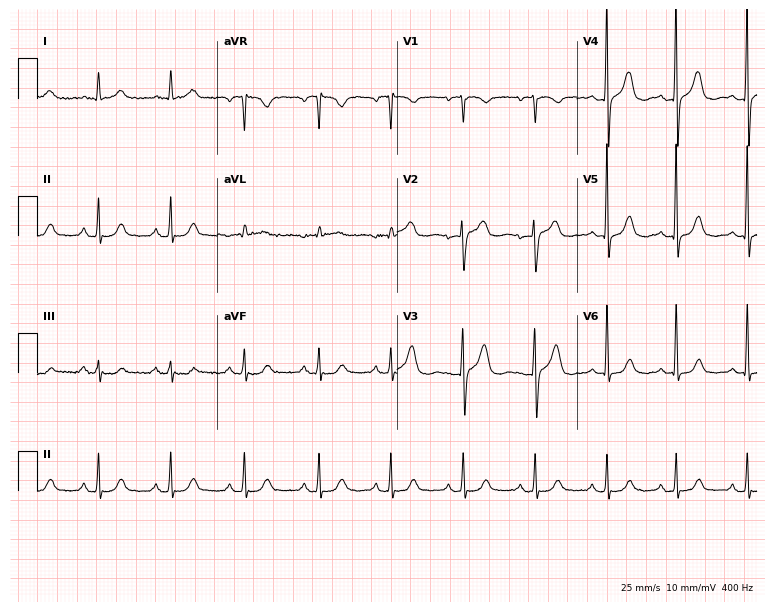
Electrocardiogram, a 65-year-old female patient. Of the six screened findings (first-degree AV block, right bundle branch block, left bundle branch block, sinus bradycardia, atrial fibrillation, sinus tachycardia), none is recorded. Only these six findings were labelled.